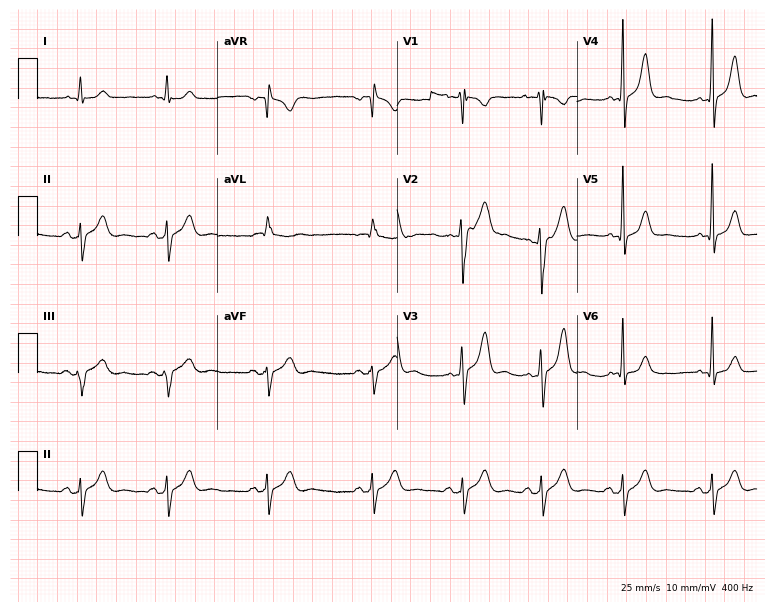
Resting 12-lead electrocardiogram. Patient: a 36-year-old man. None of these six findings is recorded: first-degree AV block, right bundle branch block, left bundle branch block, sinus bradycardia, atrial fibrillation, sinus tachycardia.